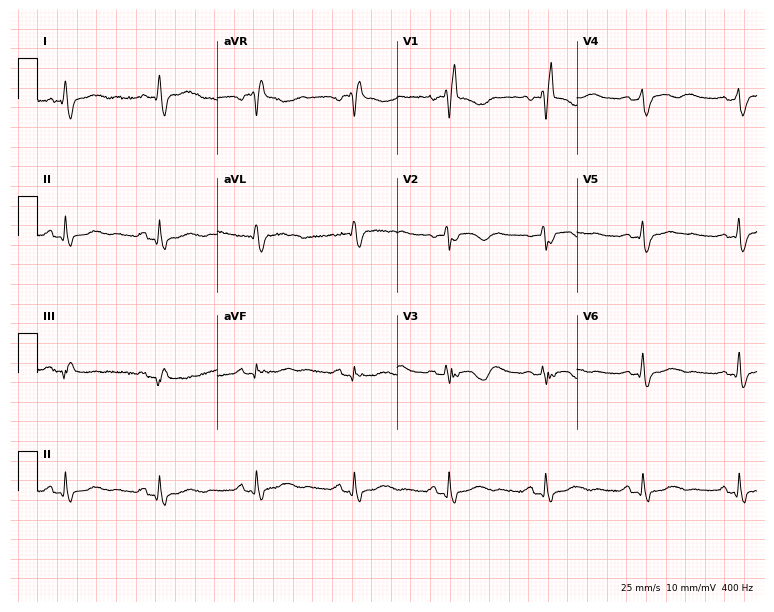
12-lead ECG from a 52-year-old female. Findings include right bundle branch block.